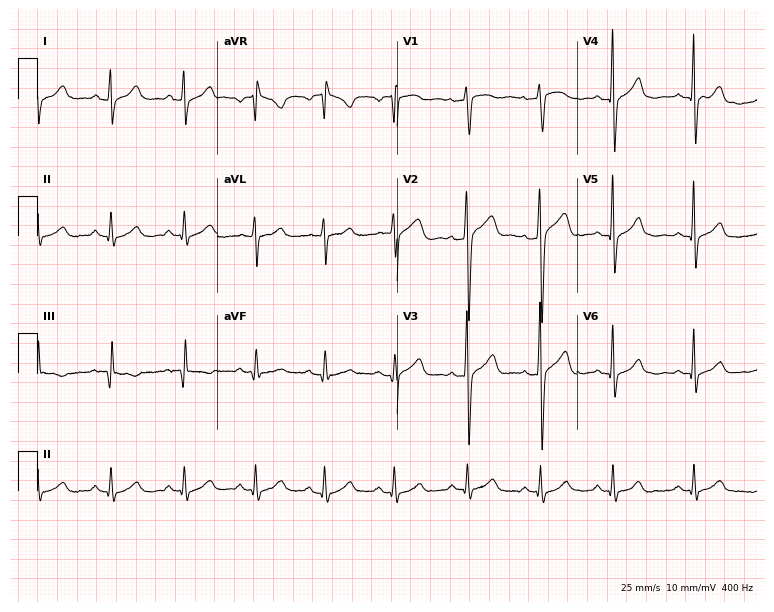
12-lead ECG (7.3-second recording at 400 Hz) from a man, 22 years old. Labelled as a normal ECG.